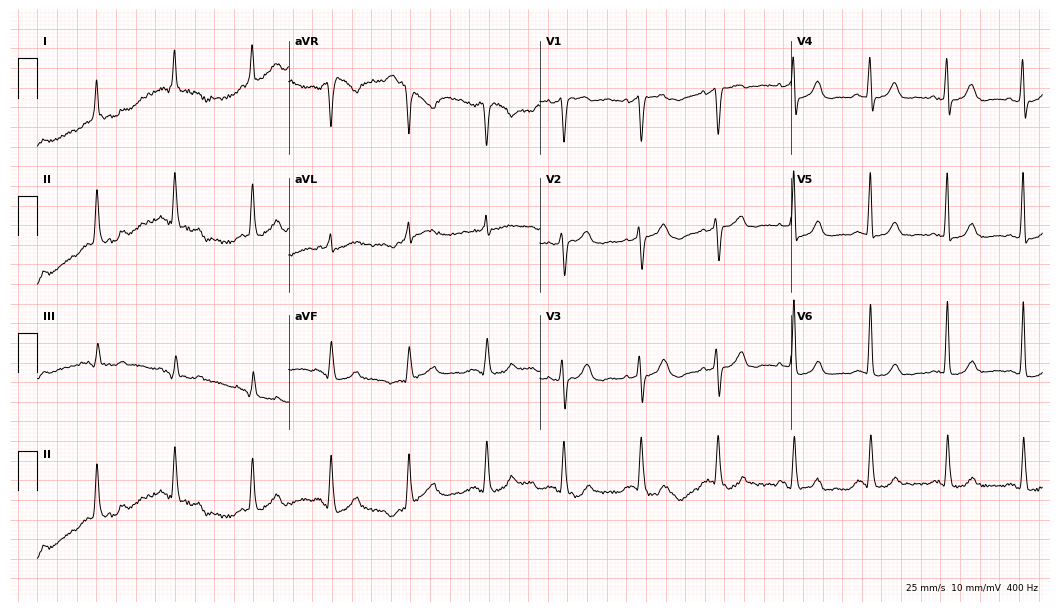
12-lead ECG from a female patient, 74 years old (10.2-second recording at 400 Hz). No first-degree AV block, right bundle branch block (RBBB), left bundle branch block (LBBB), sinus bradycardia, atrial fibrillation (AF) or sinus tachycardia recorded for this tracing. Findings outside these six are not listed.